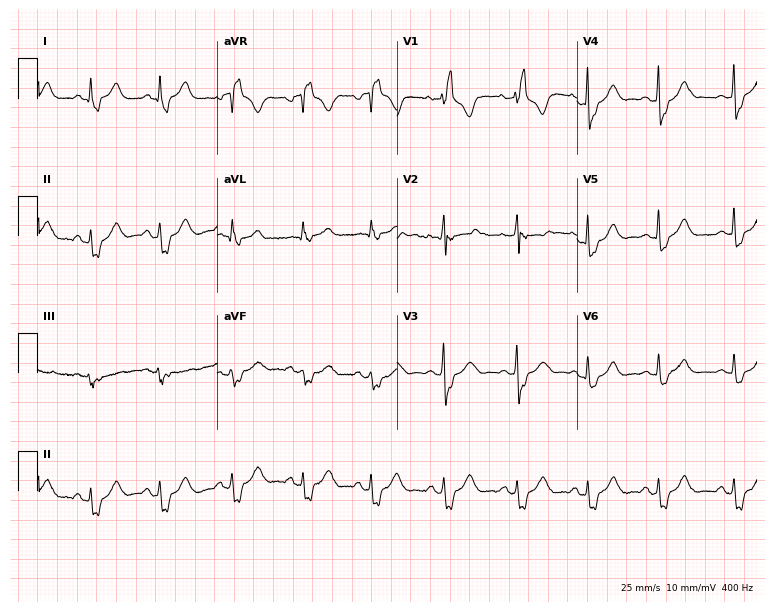
12-lead ECG from a woman, 58 years old (7.3-second recording at 400 Hz). Shows right bundle branch block (RBBB).